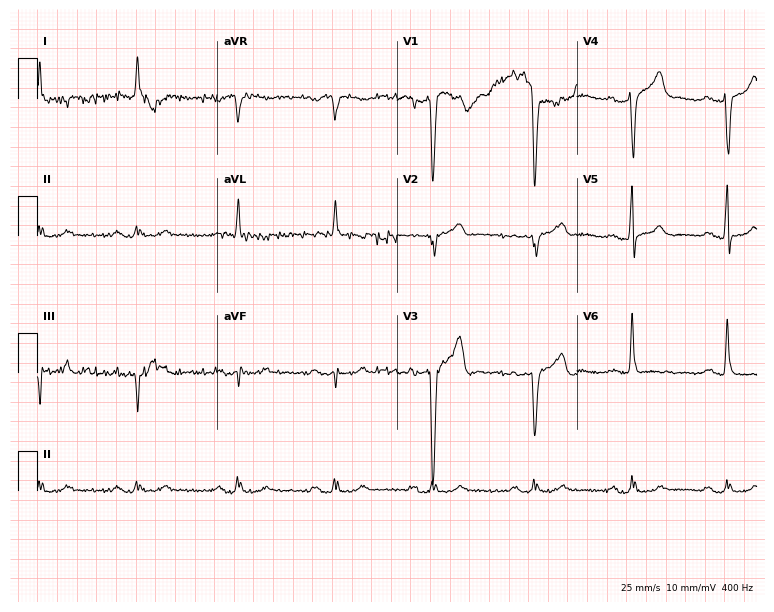
Standard 12-lead ECG recorded from a male, 84 years old. None of these six findings is recorded: first-degree AV block, right bundle branch block (RBBB), left bundle branch block (LBBB), sinus bradycardia, atrial fibrillation (AF), sinus tachycardia. Findings outside these six are not listed.